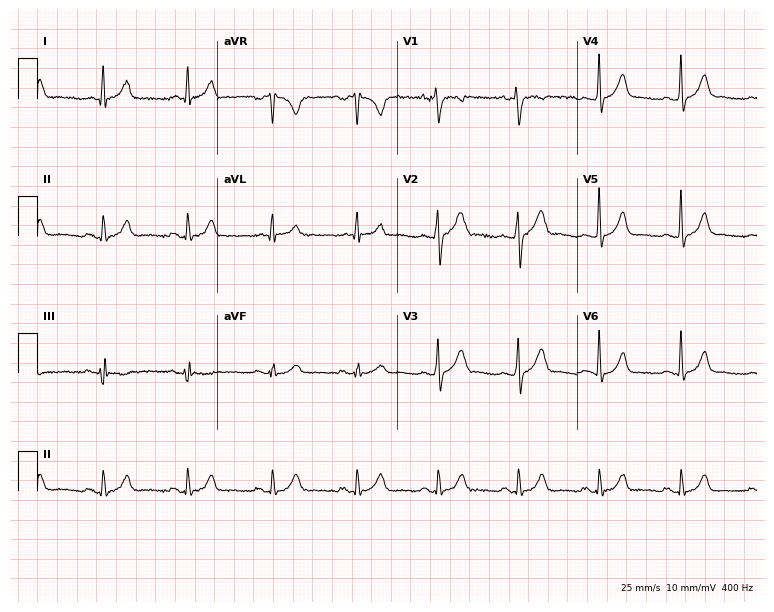
12-lead ECG from a 40-year-old male. Labelled as a normal ECG.